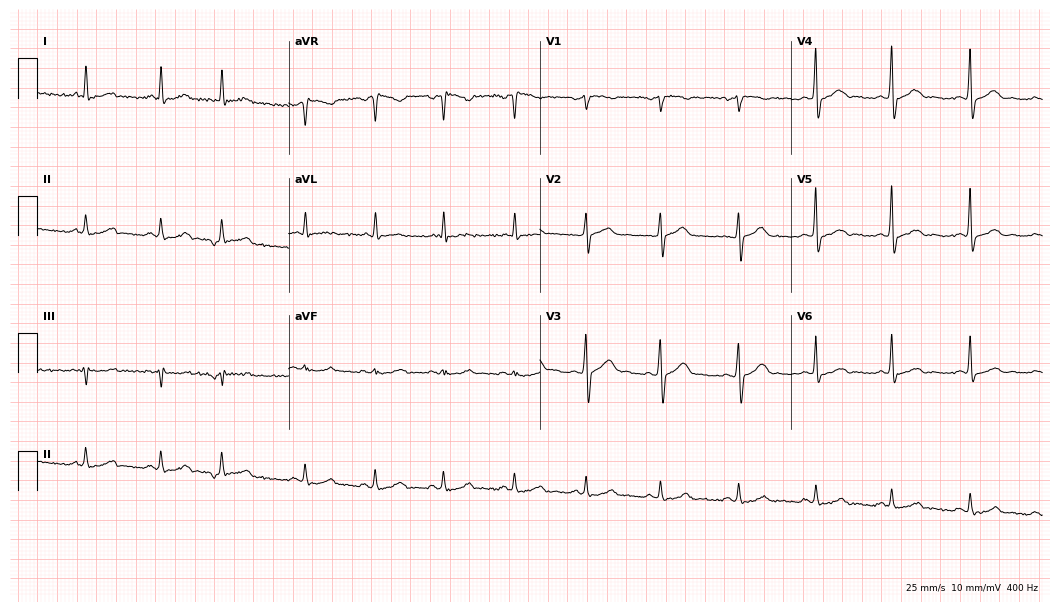
ECG — a male patient, 58 years old. Screened for six findings — first-degree AV block, right bundle branch block, left bundle branch block, sinus bradycardia, atrial fibrillation, sinus tachycardia — none is recorded. Only these six findings were labelled.